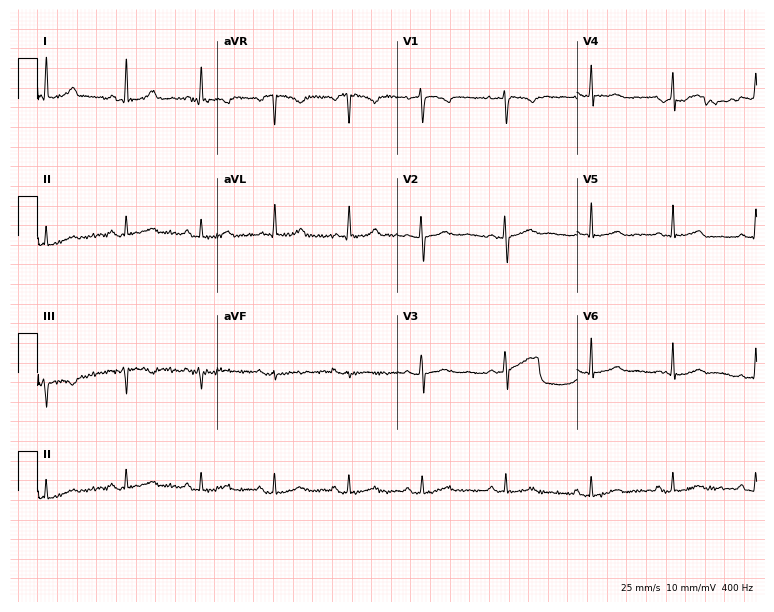
Electrocardiogram, a 36-year-old female patient. Overall reading on record: normal ECG.